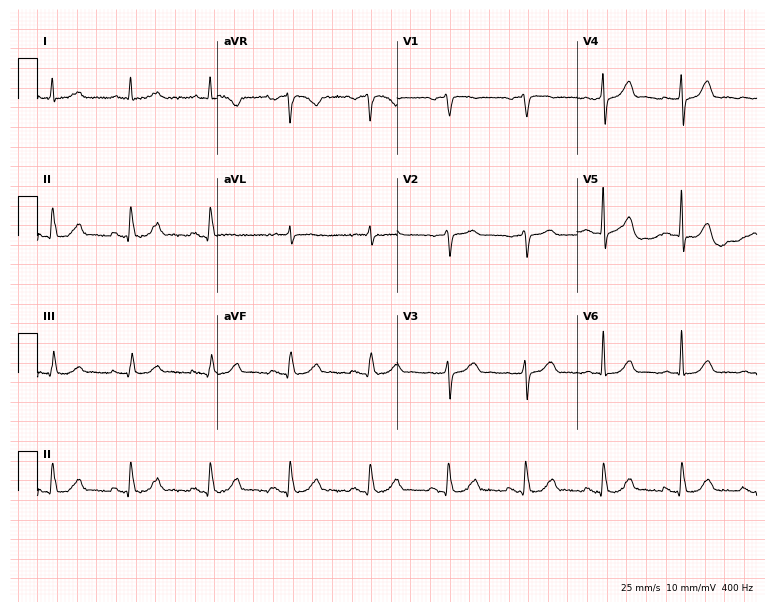
Electrocardiogram (7.3-second recording at 400 Hz), a 76-year-old man. Overall reading on record: normal ECG.